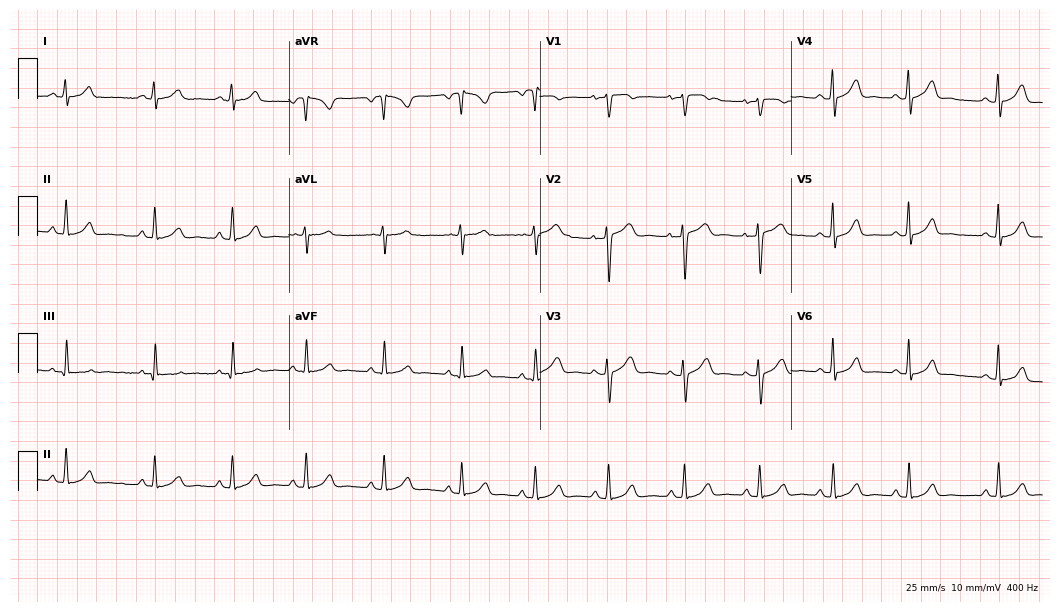
ECG (10.2-second recording at 400 Hz) — a 24-year-old woman. Screened for six findings — first-degree AV block, right bundle branch block, left bundle branch block, sinus bradycardia, atrial fibrillation, sinus tachycardia — none is recorded.